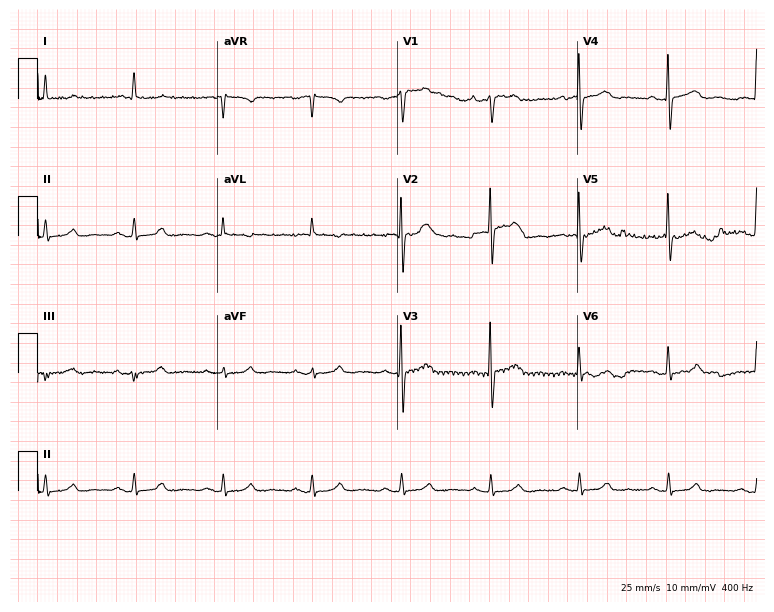
ECG — a male patient, 76 years old. Labelled as a normal ECG.